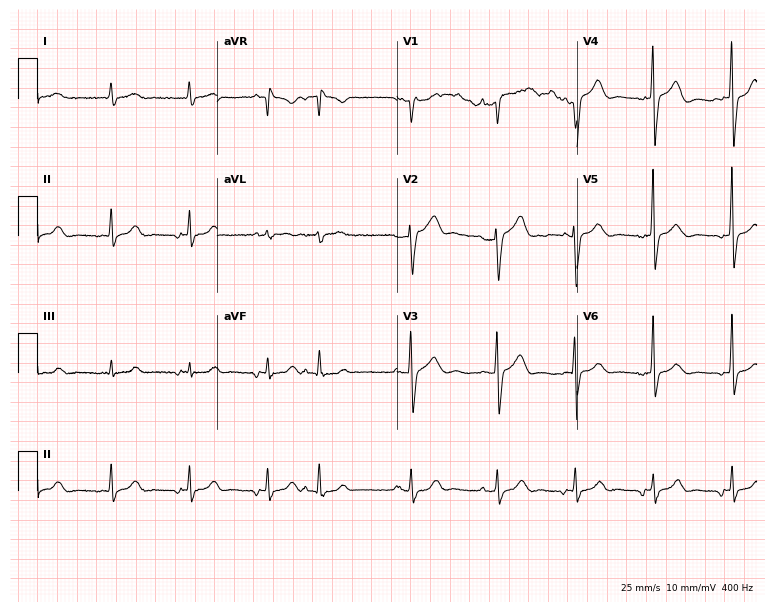
ECG — a male, 85 years old. Screened for six findings — first-degree AV block, right bundle branch block, left bundle branch block, sinus bradycardia, atrial fibrillation, sinus tachycardia — none is recorded.